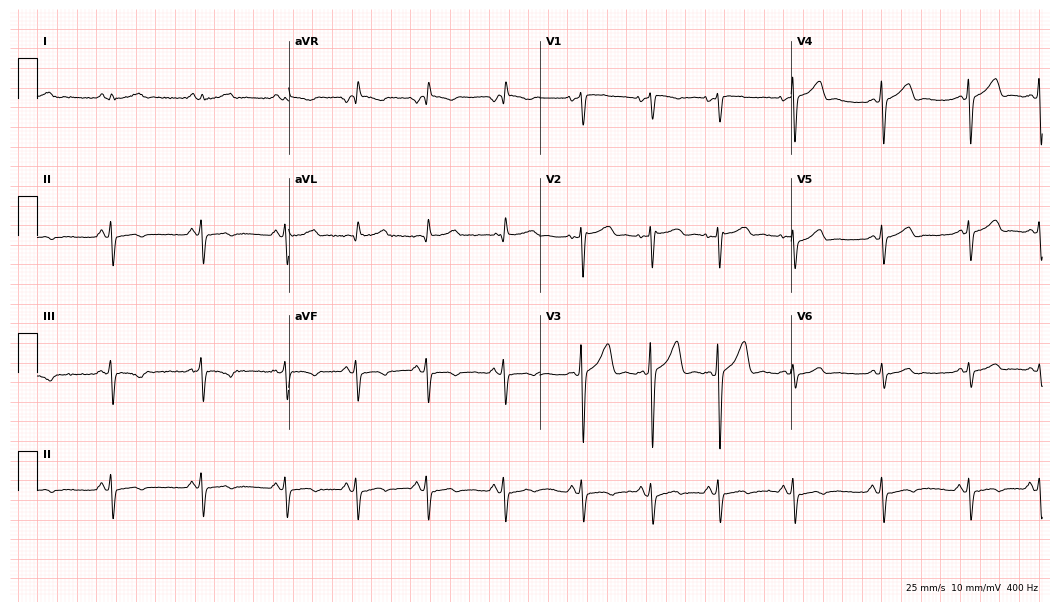
12-lead ECG (10.2-second recording at 400 Hz) from a 17-year-old female. Screened for six findings — first-degree AV block, right bundle branch block, left bundle branch block, sinus bradycardia, atrial fibrillation, sinus tachycardia — none is recorded. Other findings, if any, are not listed.